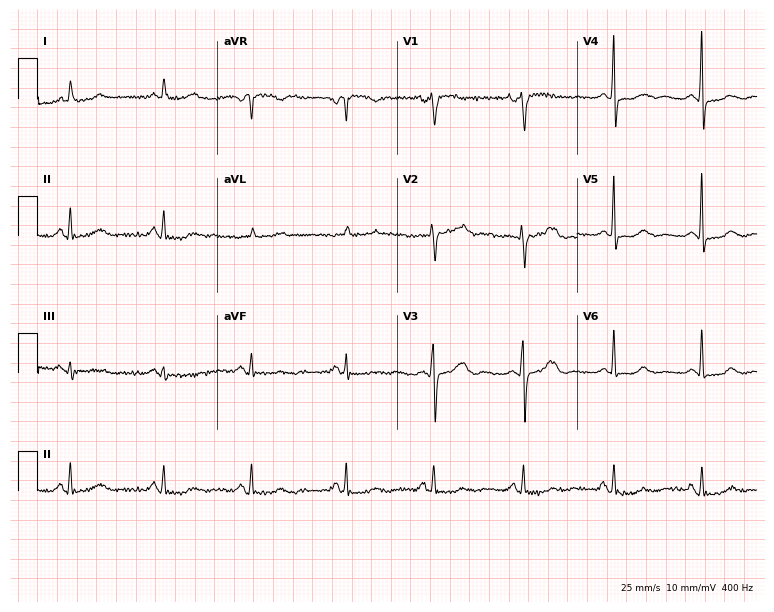
Standard 12-lead ECG recorded from a 75-year-old female patient (7.3-second recording at 400 Hz). None of these six findings is recorded: first-degree AV block, right bundle branch block, left bundle branch block, sinus bradycardia, atrial fibrillation, sinus tachycardia. Only these six findings were labelled.